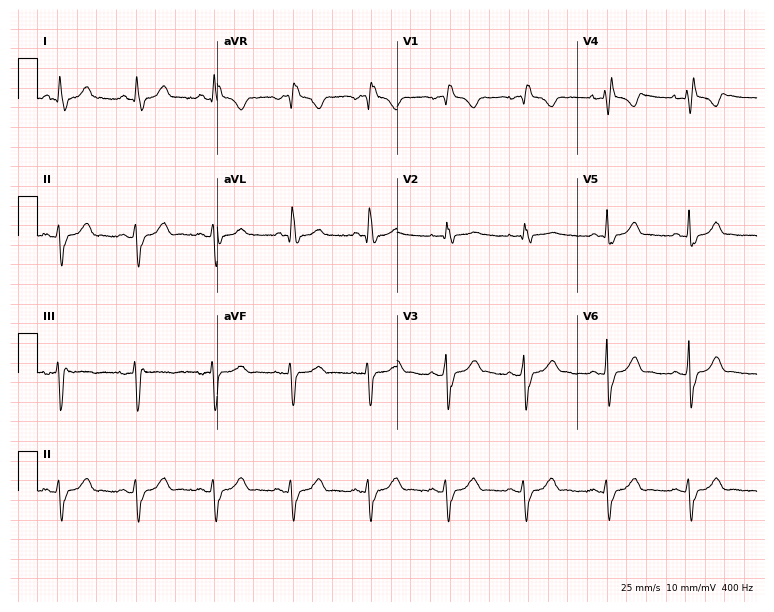
Standard 12-lead ECG recorded from a male patient, 82 years old (7.3-second recording at 400 Hz). The tracing shows right bundle branch block (RBBB).